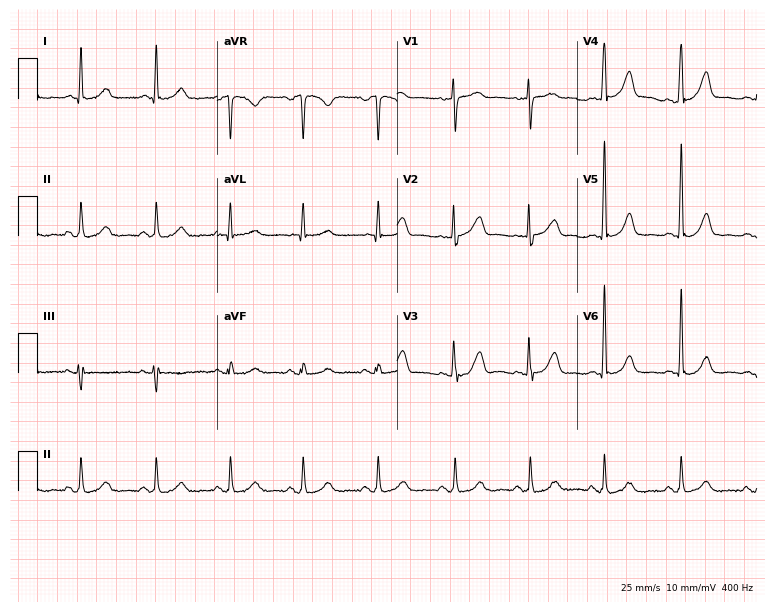
12-lead ECG from a 68-year-old female patient. Labelled as a normal ECG.